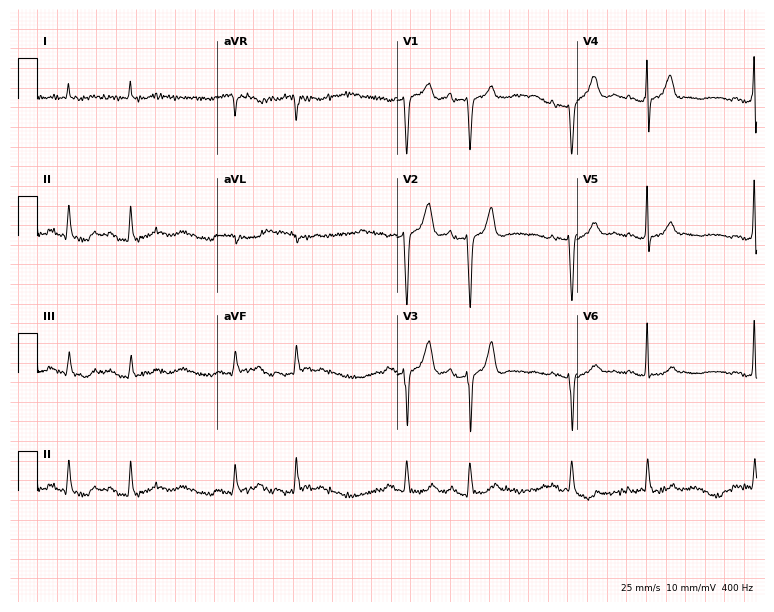
12-lead ECG from a man, 83 years old (7.3-second recording at 400 Hz). No first-degree AV block, right bundle branch block (RBBB), left bundle branch block (LBBB), sinus bradycardia, atrial fibrillation (AF) or sinus tachycardia recorded for this tracing.